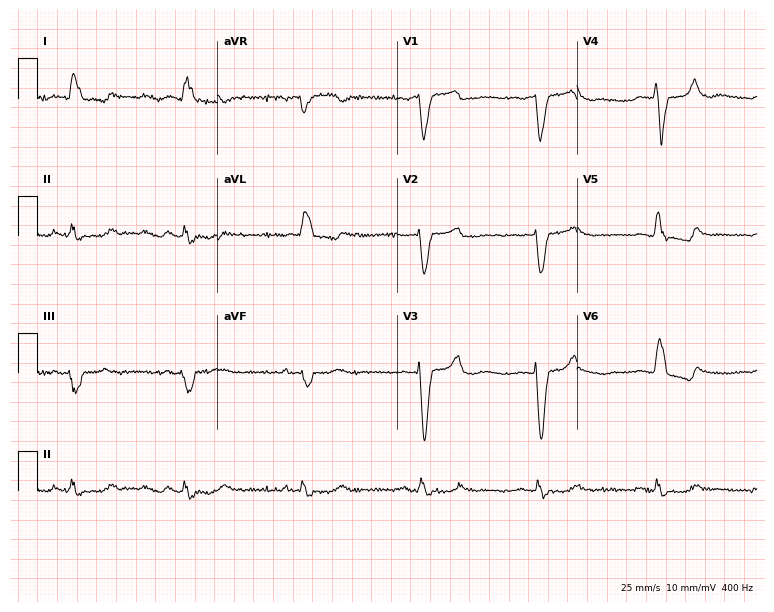
Electrocardiogram, a 78-year-old woman. Interpretation includes left bundle branch block, sinus bradycardia (a sinus rate of 50 beats per minute or less).